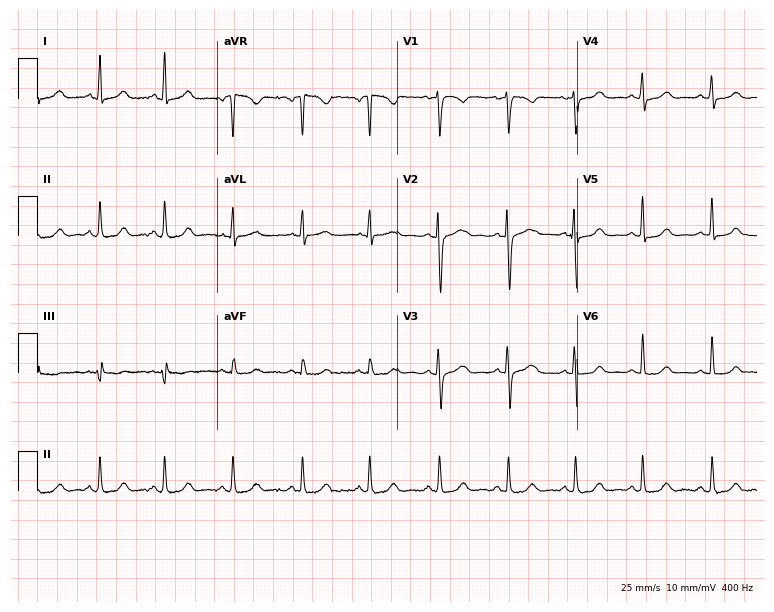
Standard 12-lead ECG recorded from a female patient, 24 years old. None of these six findings is recorded: first-degree AV block, right bundle branch block, left bundle branch block, sinus bradycardia, atrial fibrillation, sinus tachycardia. Findings outside these six are not listed.